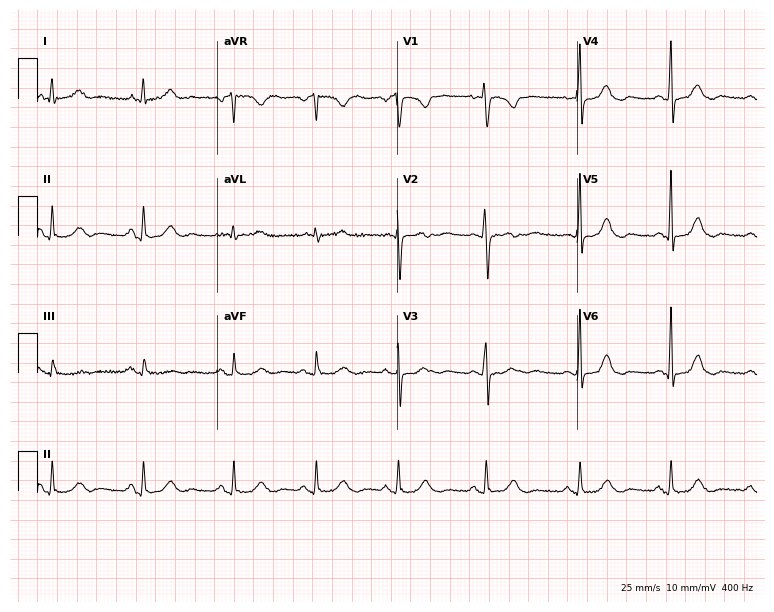
Resting 12-lead electrocardiogram (7.3-second recording at 400 Hz). Patient: a 55-year-old female. None of these six findings is recorded: first-degree AV block, right bundle branch block, left bundle branch block, sinus bradycardia, atrial fibrillation, sinus tachycardia.